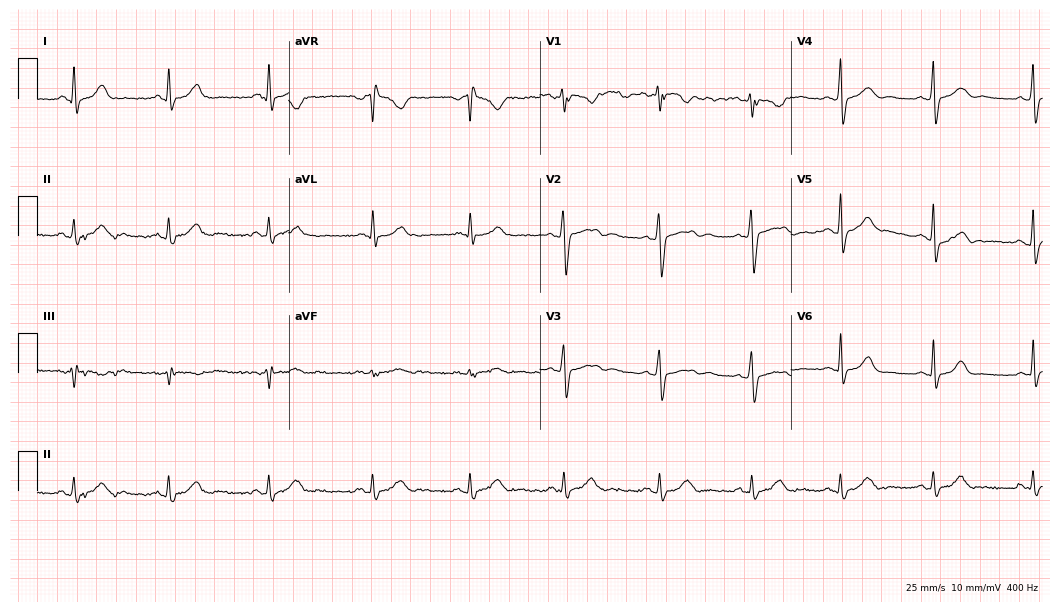
Resting 12-lead electrocardiogram. Patient: a 34-year-old female. None of these six findings is recorded: first-degree AV block, right bundle branch block (RBBB), left bundle branch block (LBBB), sinus bradycardia, atrial fibrillation (AF), sinus tachycardia.